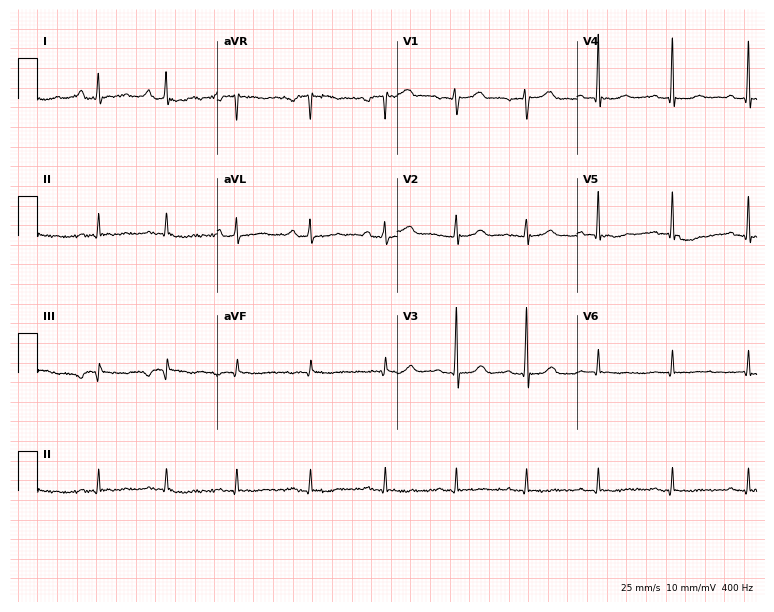
12-lead ECG from a female patient, 47 years old. No first-degree AV block, right bundle branch block, left bundle branch block, sinus bradycardia, atrial fibrillation or sinus tachycardia recorded for this tracing. Other findings, if any, are not listed.